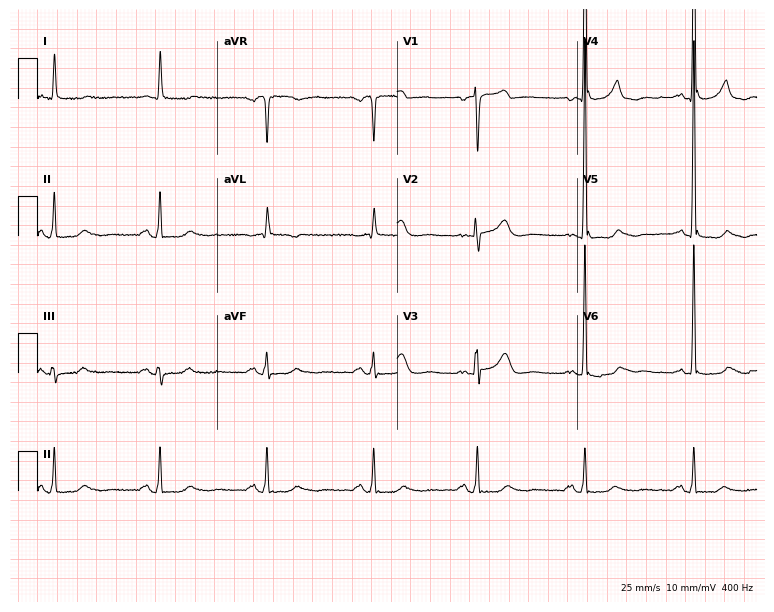
ECG (7.3-second recording at 400 Hz) — a male patient, 82 years old. Labelled as a normal ECG.